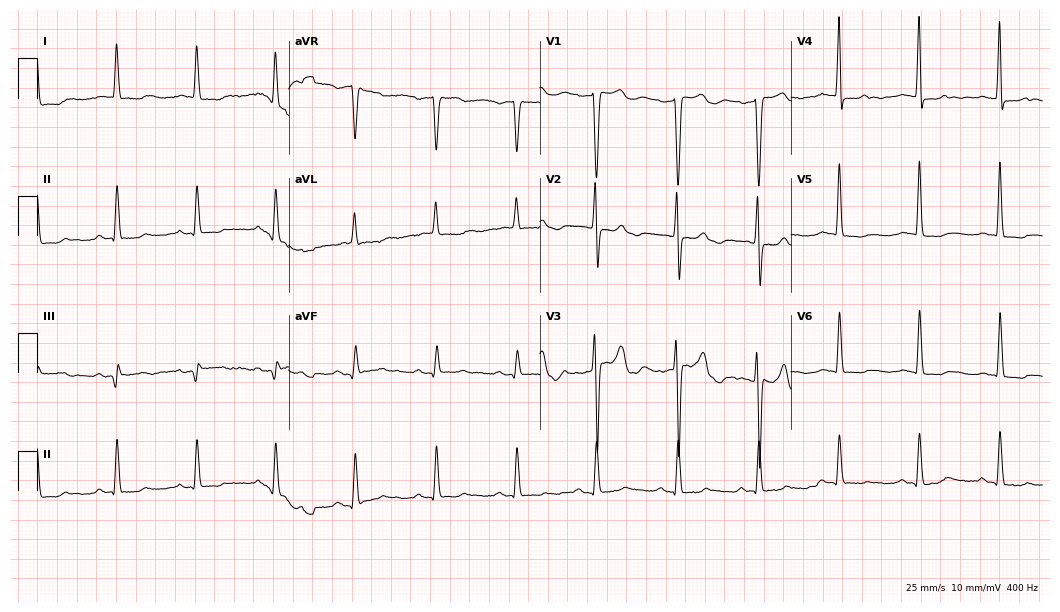
12-lead ECG (10.2-second recording at 400 Hz) from a woman, 82 years old. Screened for six findings — first-degree AV block, right bundle branch block, left bundle branch block, sinus bradycardia, atrial fibrillation, sinus tachycardia — none is recorded. Findings outside these six are not listed.